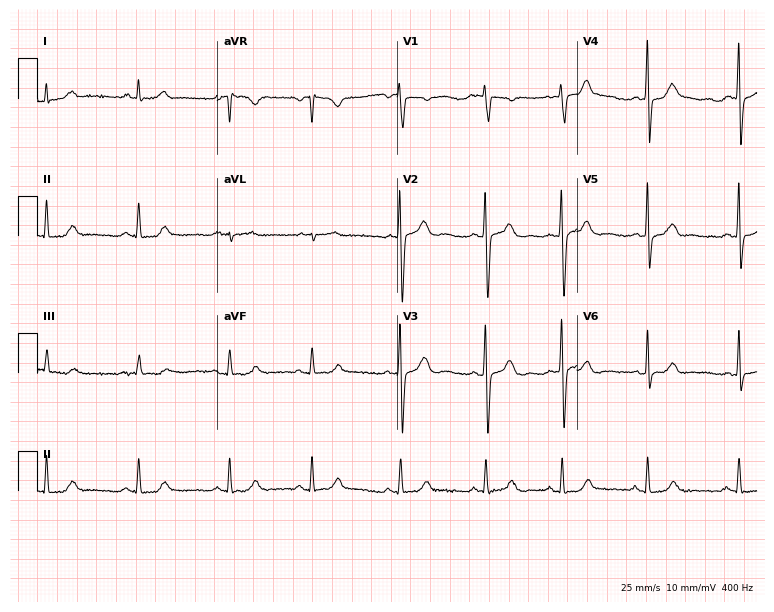
Electrocardiogram (7.3-second recording at 400 Hz), a 28-year-old woman. Of the six screened findings (first-degree AV block, right bundle branch block (RBBB), left bundle branch block (LBBB), sinus bradycardia, atrial fibrillation (AF), sinus tachycardia), none is recorded.